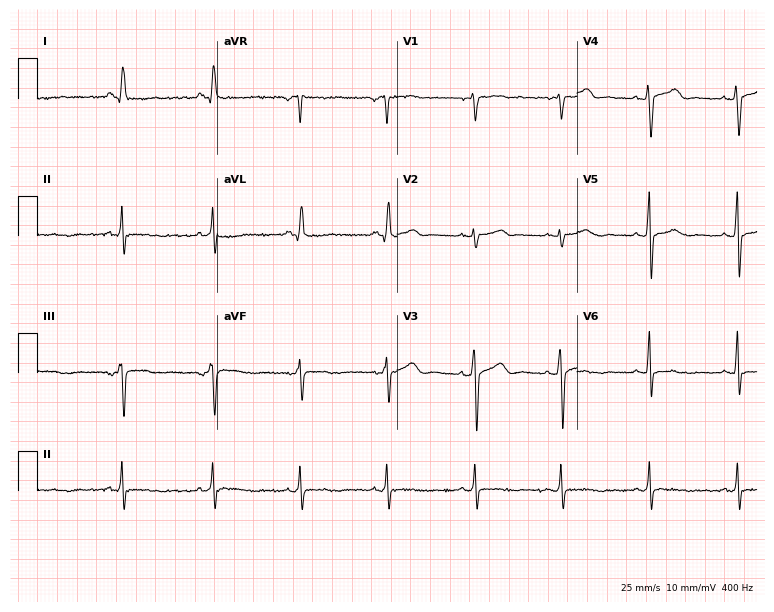
Electrocardiogram (7.3-second recording at 400 Hz), a woman, 50 years old. Of the six screened findings (first-degree AV block, right bundle branch block (RBBB), left bundle branch block (LBBB), sinus bradycardia, atrial fibrillation (AF), sinus tachycardia), none is recorded.